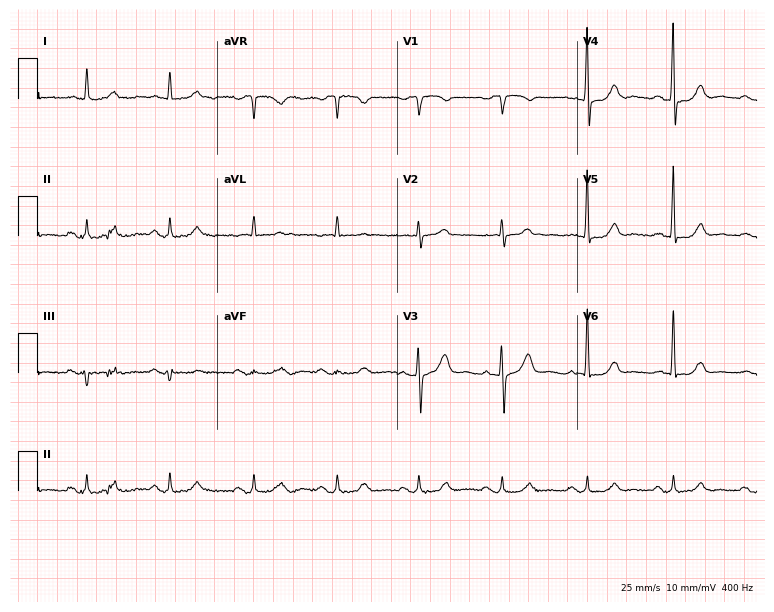
Standard 12-lead ECG recorded from a male, 74 years old (7.3-second recording at 400 Hz). Read as a normal ECG.